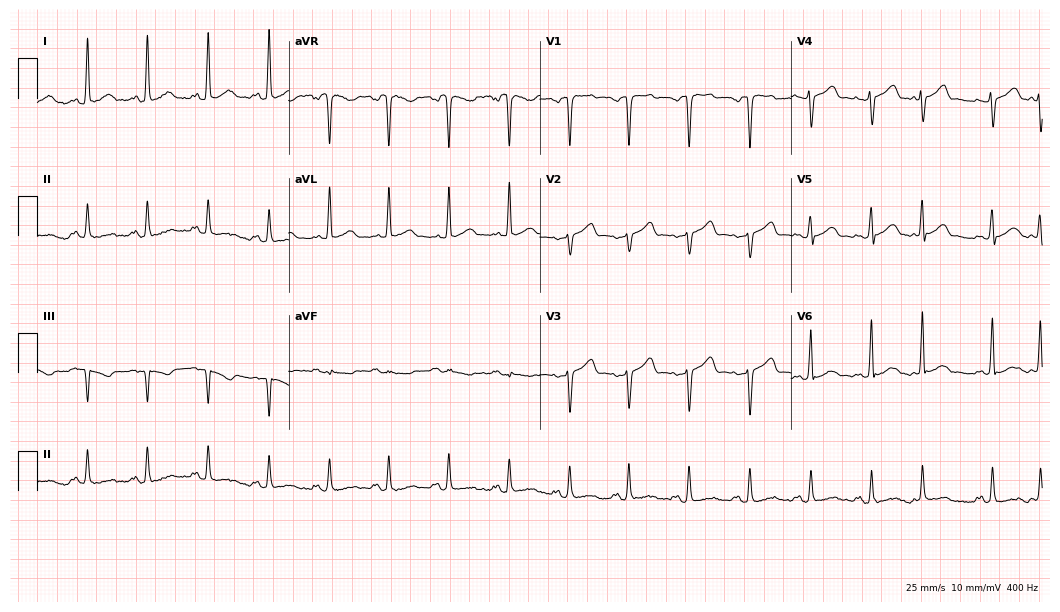
ECG (10.2-second recording at 400 Hz) — a 40-year-old female. Labelled as a normal ECG.